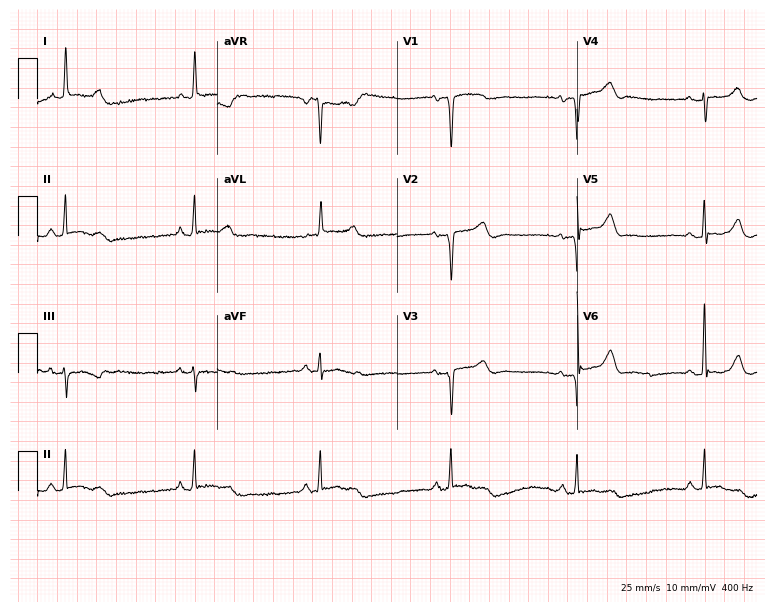
ECG — a 70-year-old female. Screened for six findings — first-degree AV block, right bundle branch block, left bundle branch block, sinus bradycardia, atrial fibrillation, sinus tachycardia — none is recorded. Findings outside these six are not listed.